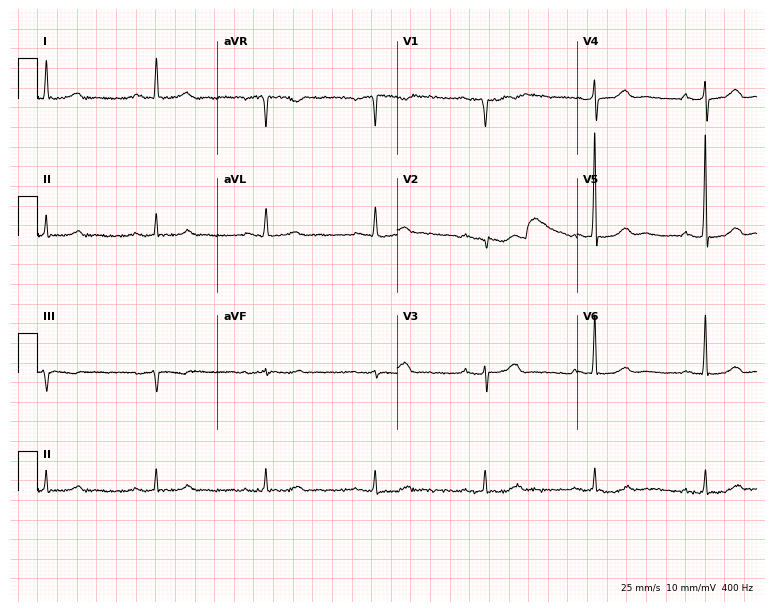
Standard 12-lead ECG recorded from a female, 64 years old (7.3-second recording at 400 Hz). The tracing shows first-degree AV block.